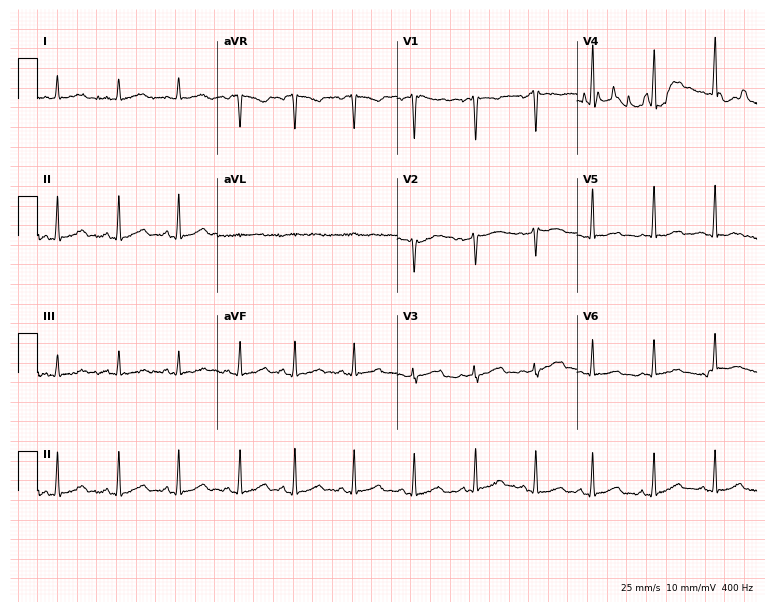
ECG — a woman, 38 years old. Screened for six findings — first-degree AV block, right bundle branch block, left bundle branch block, sinus bradycardia, atrial fibrillation, sinus tachycardia — none is recorded. Other findings, if any, are not listed.